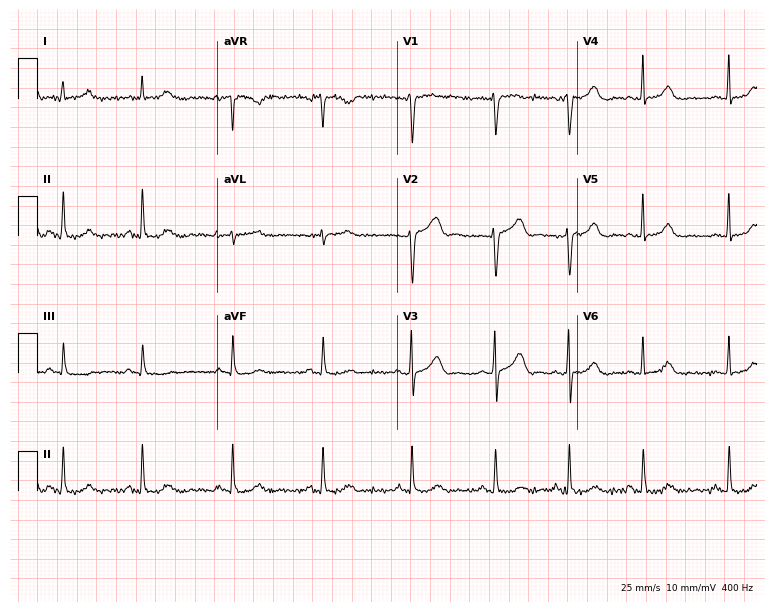
ECG (7.3-second recording at 400 Hz) — a female patient, 33 years old. Labelled as a normal ECG.